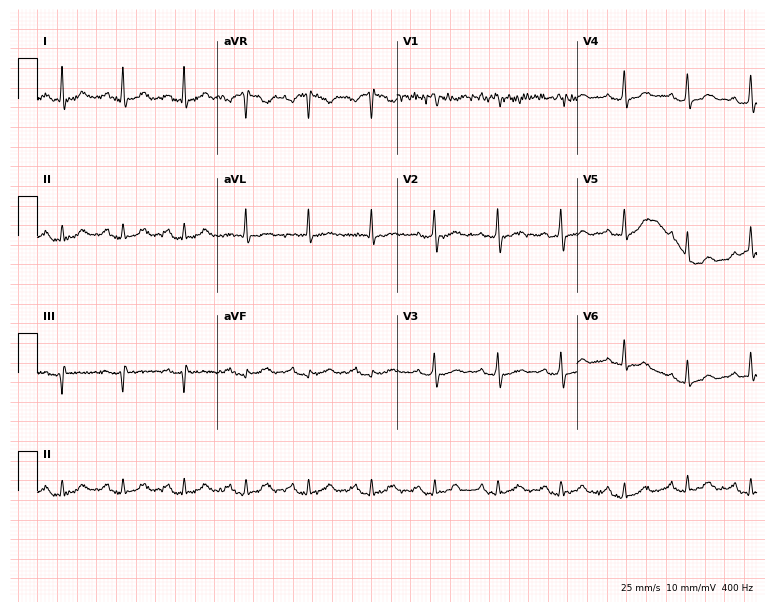
12-lead ECG from a man, 68 years old (7.3-second recording at 400 Hz). No first-degree AV block, right bundle branch block, left bundle branch block, sinus bradycardia, atrial fibrillation or sinus tachycardia recorded for this tracing. Only these six findings were labelled.